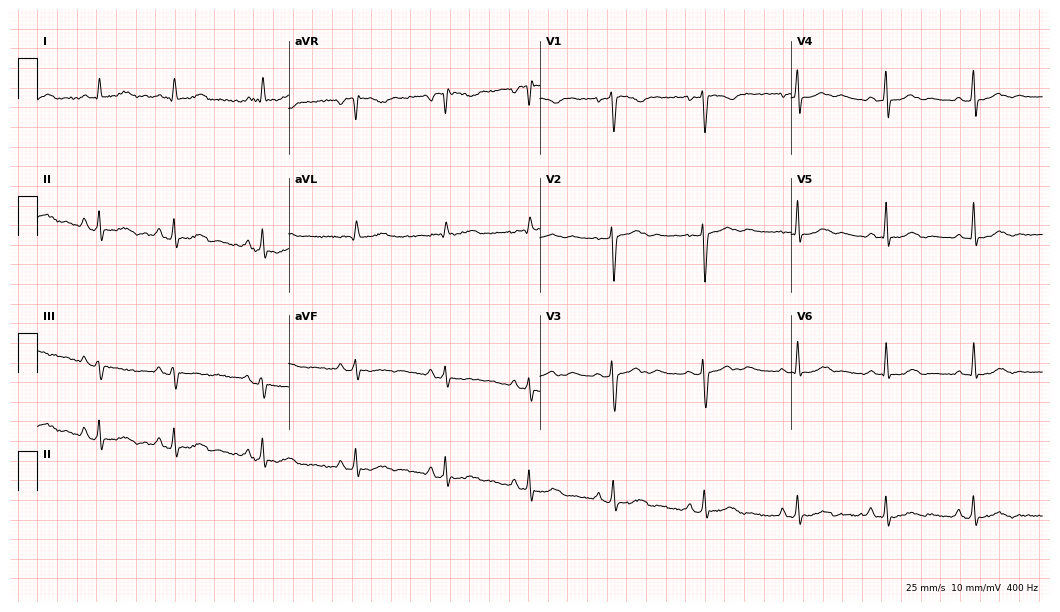
Electrocardiogram (10.2-second recording at 400 Hz), a 48-year-old female patient. Overall reading on record: normal ECG.